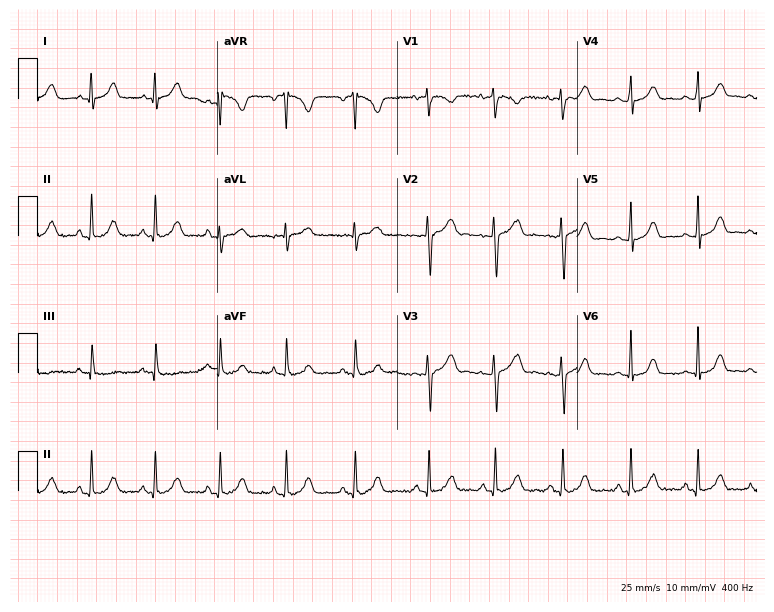
Standard 12-lead ECG recorded from a female patient, 27 years old (7.3-second recording at 400 Hz). Read as a normal ECG.